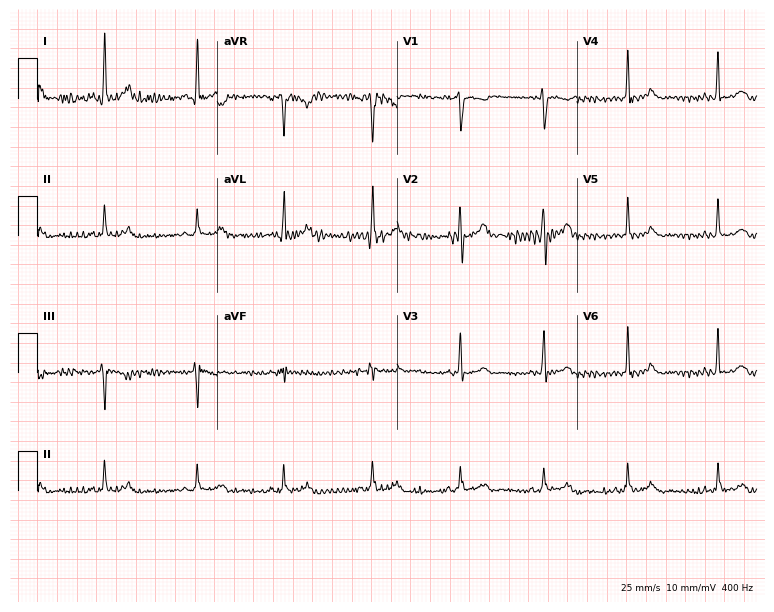
Standard 12-lead ECG recorded from a 31-year-old woman. None of these six findings is recorded: first-degree AV block, right bundle branch block, left bundle branch block, sinus bradycardia, atrial fibrillation, sinus tachycardia. Only these six findings were labelled.